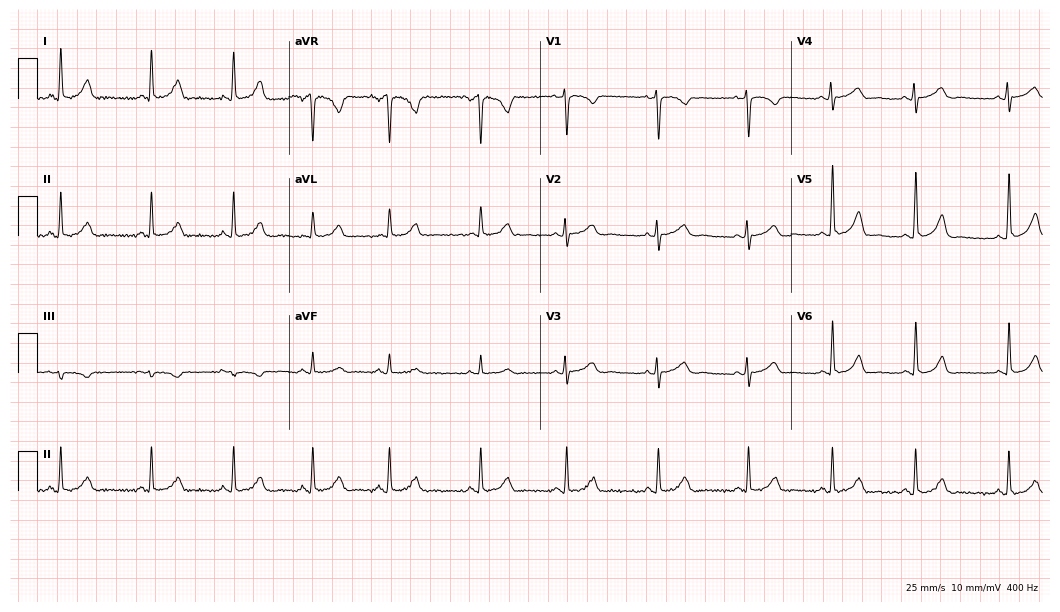
ECG (10.2-second recording at 400 Hz) — a female patient, 38 years old. Screened for six findings — first-degree AV block, right bundle branch block (RBBB), left bundle branch block (LBBB), sinus bradycardia, atrial fibrillation (AF), sinus tachycardia — none is recorded. Only these six findings were labelled.